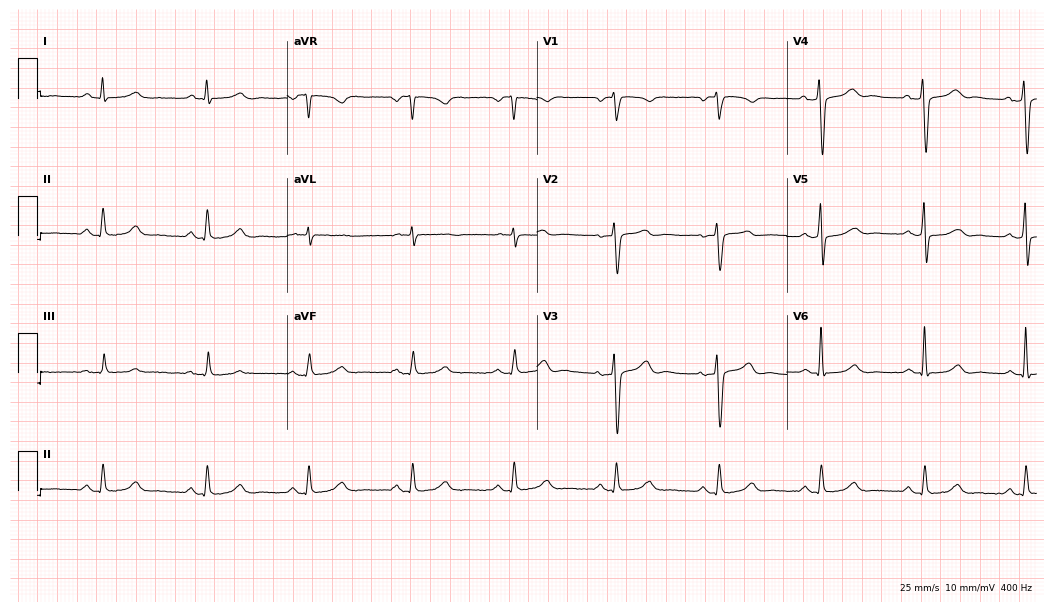
12-lead ECG (10.2-second recording at 400 Hz) from a 33-year-old male patient. Labelled as a normal ECG.